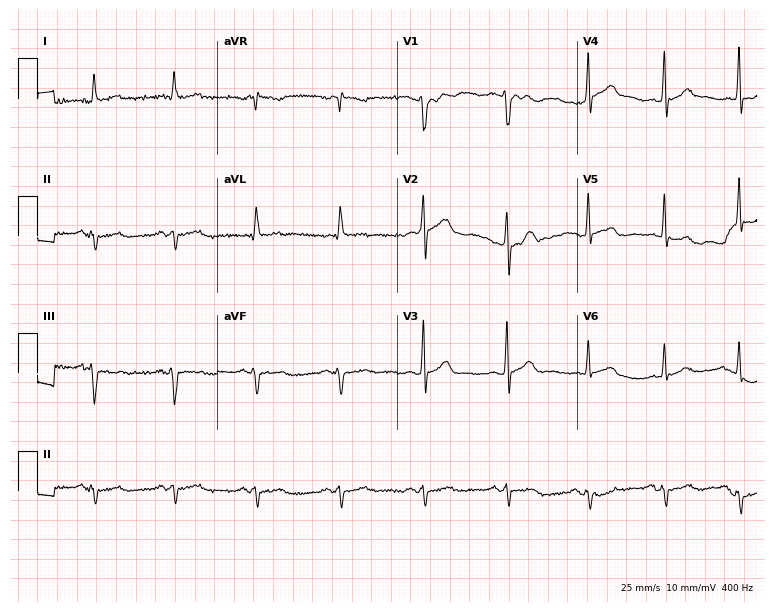
12-lead ECG from a male patient, 61 years old. Screened for six findings — first-degree AV block, right bundle branch block, left bundle branch block, sinus bradycardia, atrial fibrillation, sinus tachycardia — none is recorded. Findings outside these six are not listed.